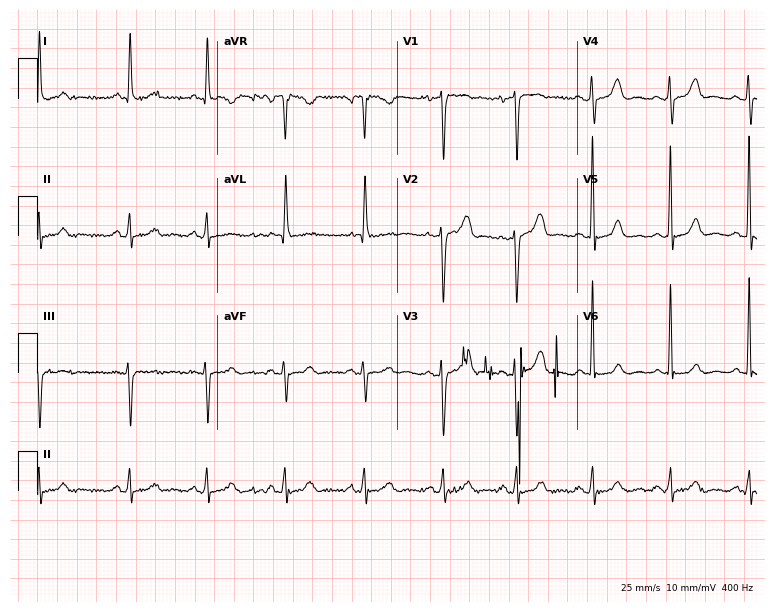
ECG (7.3-second recording at 400 Hz) — a 76-year-old female patient. Labelled as a normal ECG.